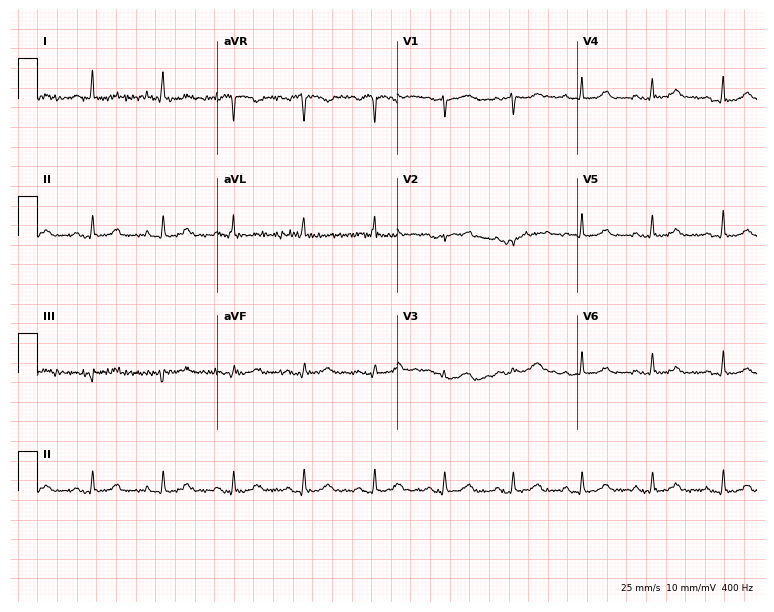
Standard 12-lead ECG recorded from a 56-year-old female (7.3-second recording at 400 Hz). None of these six findings is recorded: first-degree AV block, right bundle branch block, left bundle branch block, sinus bradycardia, atrial fibrillation, sinus tachycardia. Only these six findings were labelled.